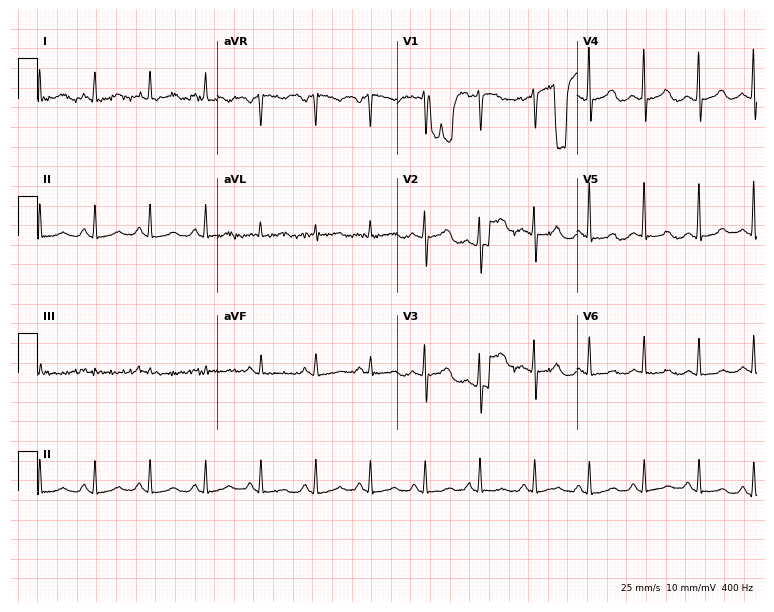
Resting 12-lead electrocardiogram. Patient: a 41-year-old female. The tracing shows sinus tachycardia (a sinus rate of 100 beats per minute or more).